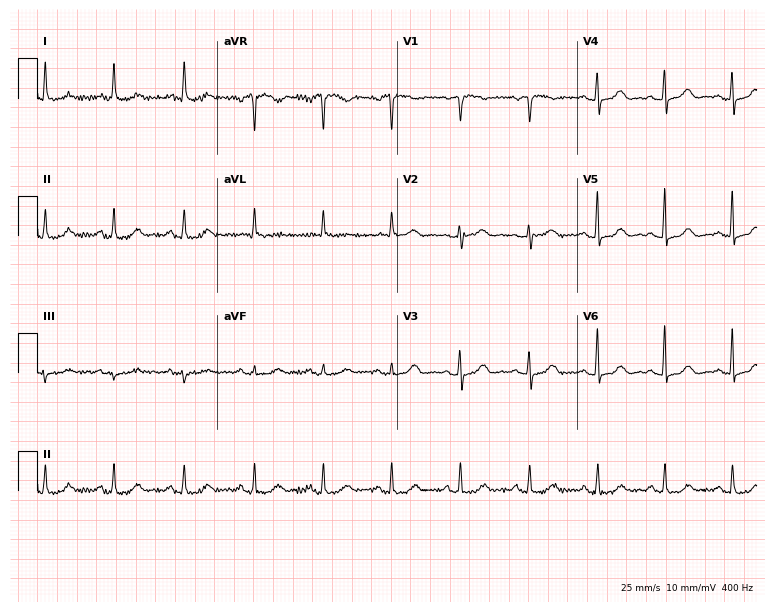
Standard 12-lead ECG recorded from a female, 75 years old. Read as a normal ECG.